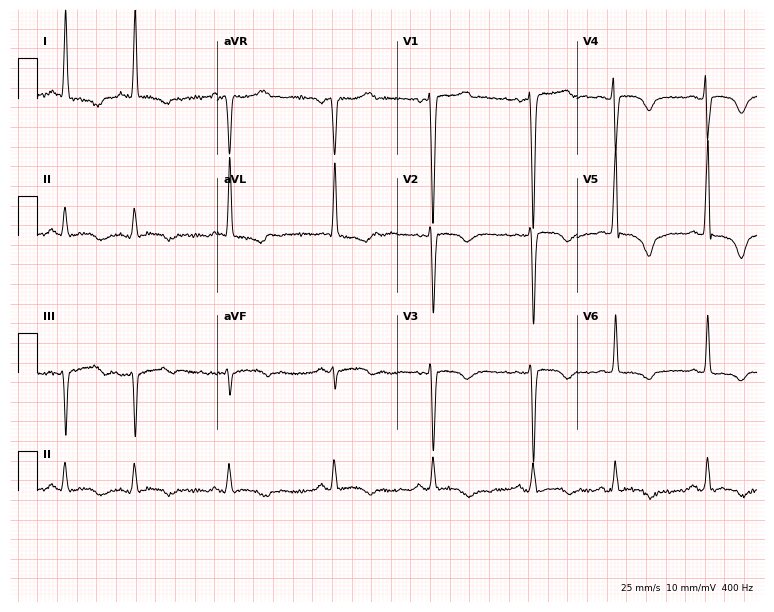
Resting 12-lead electrocardiogram (7.3-second recording at 400 Hz). Patient: a female, 79 years old. None of these six findings is recorded: first-degree AV block, right bundle branch block, left bundle branch block, sinus bradycardia, atrial fibrillation, sinus tachycardia. Other findings, if any, are not listed.